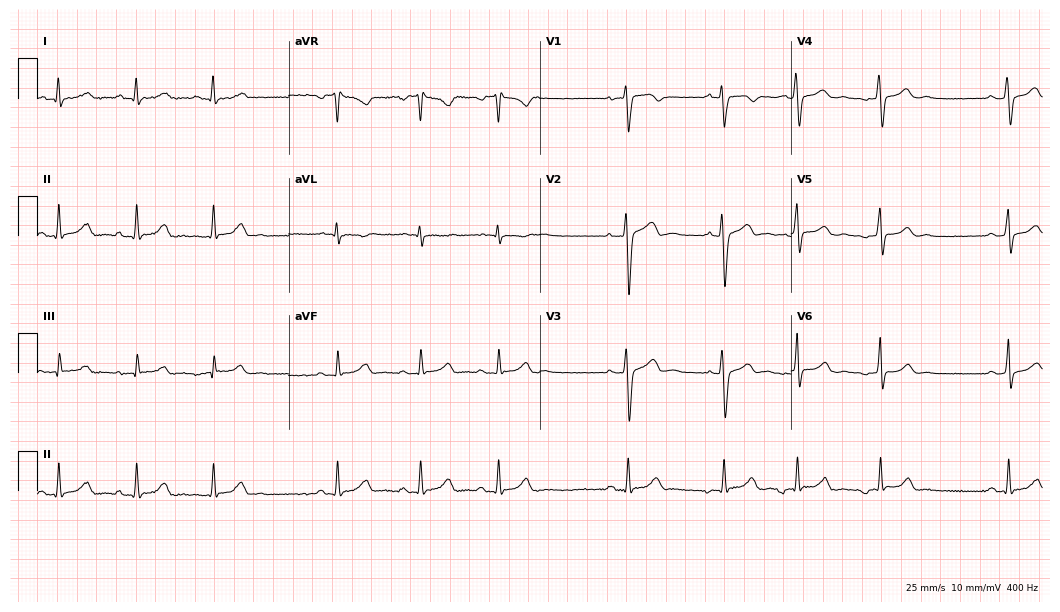
Resting 12-lead electrocardiogram (10.2-second recording at 400 Hz). Patient: a 19-year-old female. None of these six findings is recorded: first-degree AV block, right bundle branch block, left bundle branch block, sinus bradycardia, atrial fibrillation, sinus tachycardia.